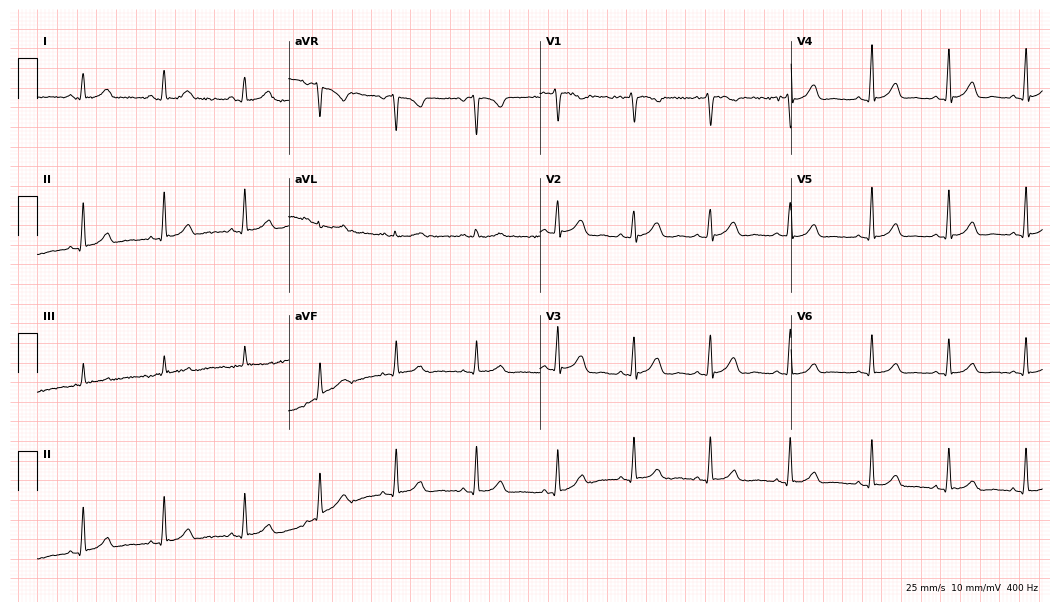
Standard 12-lead ECG recorded from a 21-year-old woman. None of these six findings is recorded: first-degree AV block, right bundle branch block (RBBB), left bundle branch block (LBBB), sinus bradycardia, atrial fibrillation (AF), sinus tachycardia. Findings outside these six are not listed.